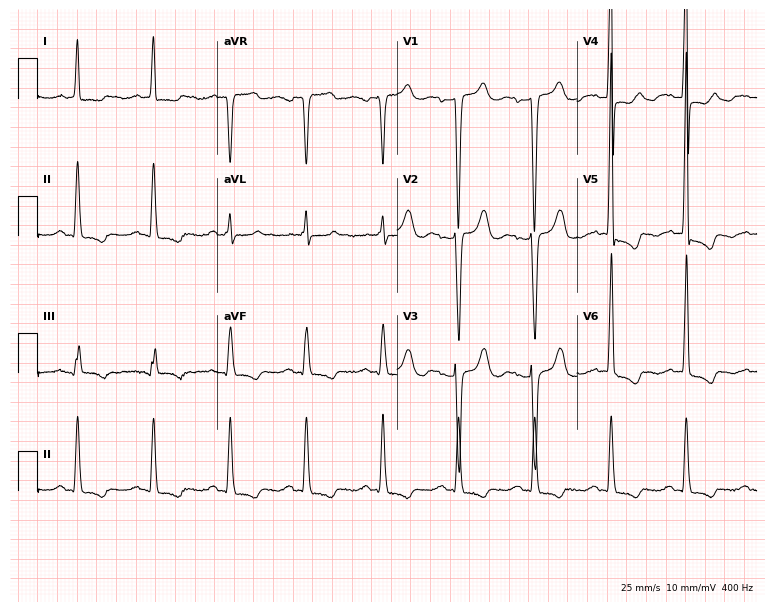
Electrocardiogram, a female patient, 84 years old. Of the six screened findings (first-degree AV block, right bundle branch block, left bundle branch block, sinus bradycardia, atrial fibrillation, sinus tachycardia), none is recorded. Only these six findings were labelled.